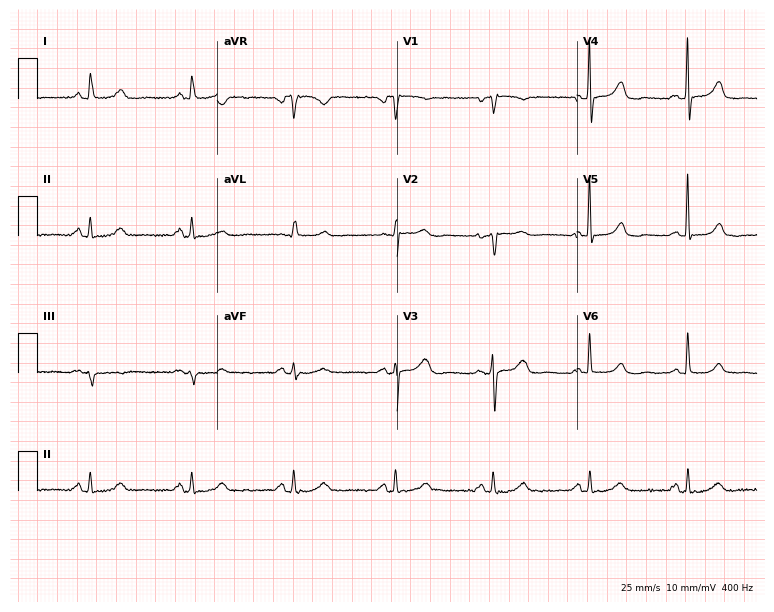
Electrocardiogram, a woman, 64 years old. Interpretation includes sinus bradycardia (a sinus rate of 50 beats per minute or less).